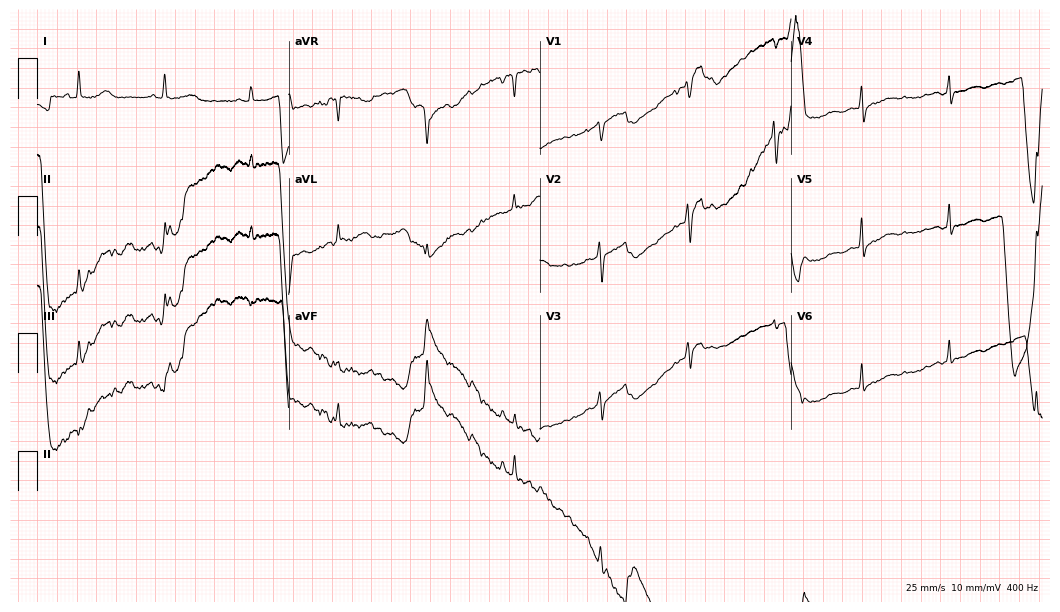
Electrocardiogram (10.2-second recording at 400 Hz), a 76-year-old female. Of the six screened findings (first-degree AV block, right bundle branch block, left bundle branch block, sinus bradycardia, atrial fibrillation, sinus tachycardia), none is recorded. Only these six findings were labelled.